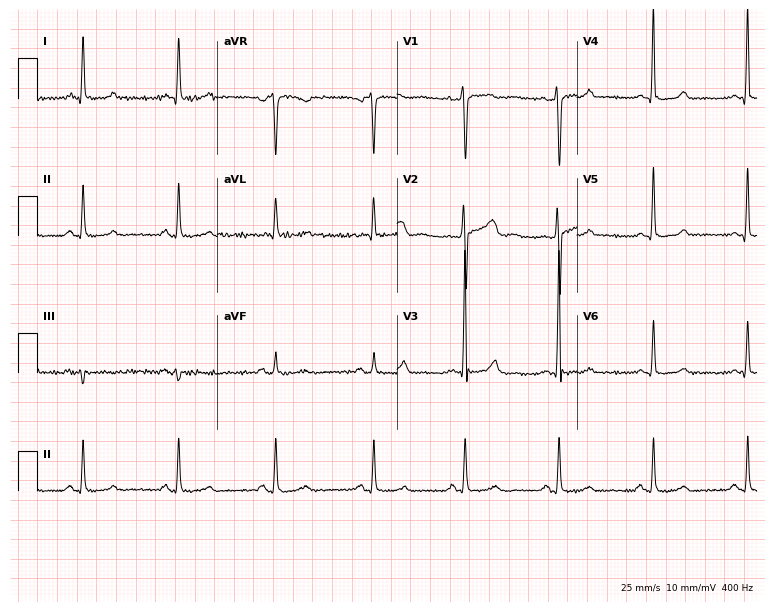
Resting 12-lead electrocardiogram. Patient: a 48-year-old female. Read as a normal ECG.